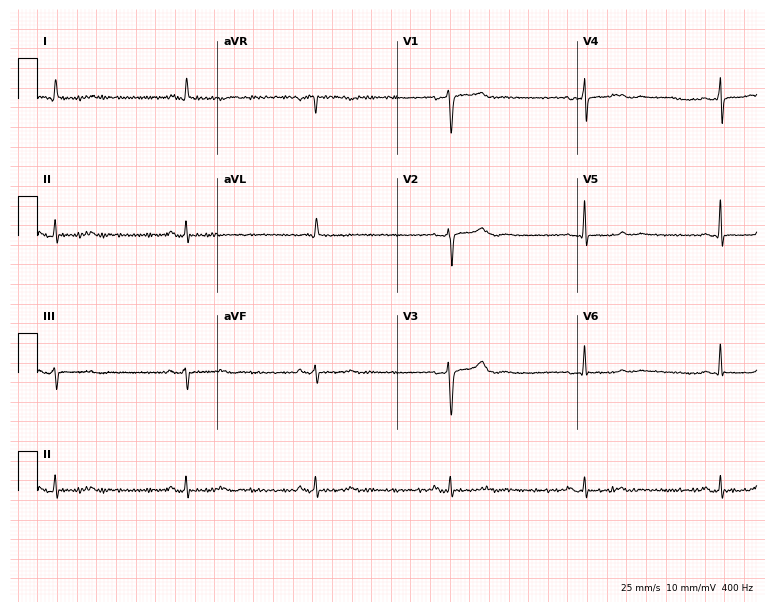
Resting 12-lead electrocardiogram (7.3-second recording at 400 Hz). Patient: a female, 75 years old. The tracing shows sinus bradycardia (a sinus rate of 50 beats per minute or less).